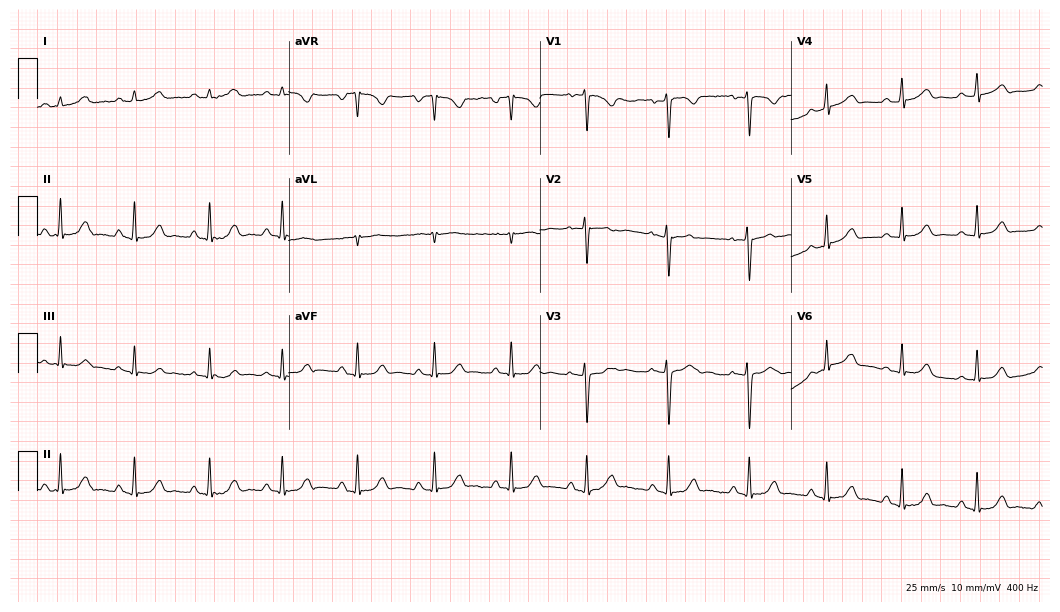
12-lead ECG from a 25-year-old female patient. Recorded interpretation: within normal limits.